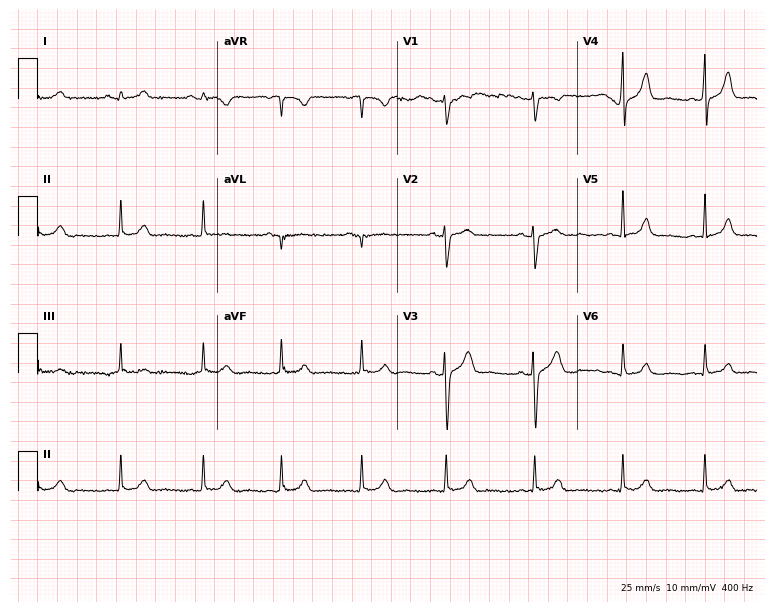
Electrocardiogram (7.3-second recording at 400 Hz), a 33-year-old female patient. Overall reading on record: normal ECG.